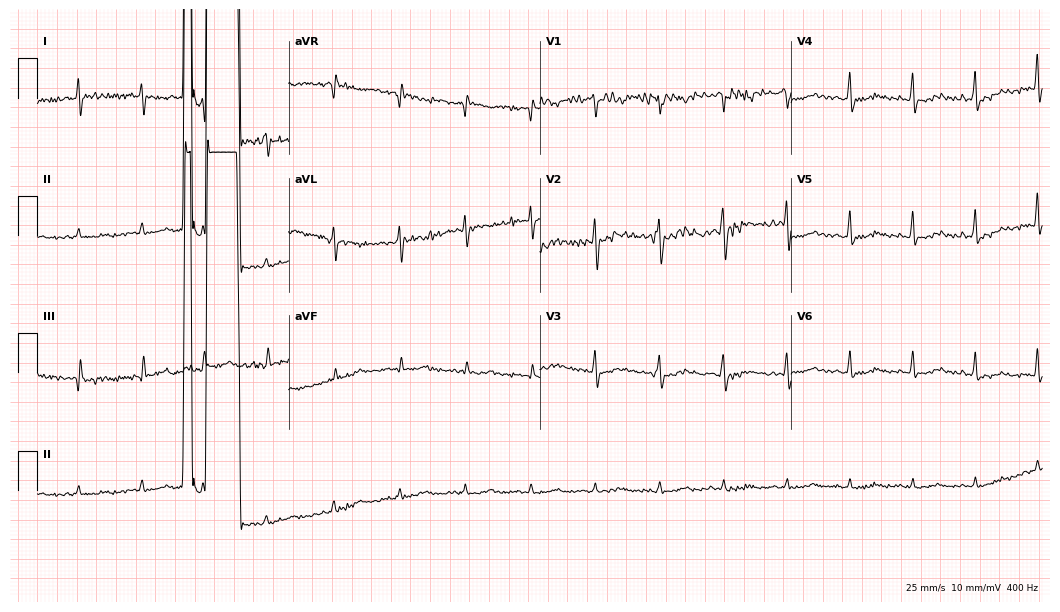
12-lead ECG from a 25-year-old woman. No first-degree AV block, right bundle branch block, left bundle branch block, sinus bradycardia, atrial fibrillation or sinus tachycardia recorded for this tracing. Other findings, if any, are not listed.